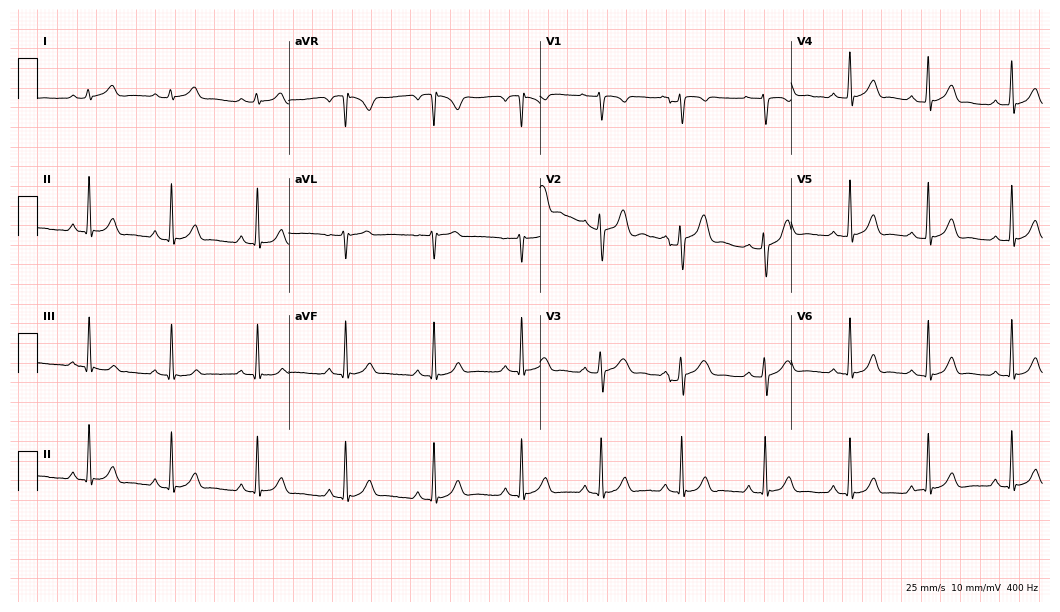
12-lead ECG from a 21-year-old woman (10.2-second recording at 400 Hz). Recorded interpretation: within normal limits.